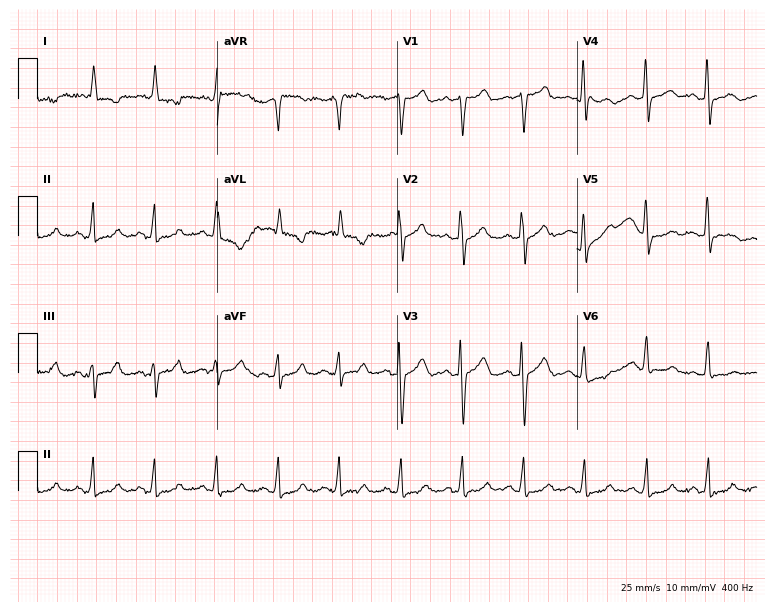
12-lead ECG from a female, 79 years old. No first-degree AV block, right bundle branch block, left bundle branch block, sinus bradycardia, atrial fibrillation or sinus tachycardia recorded for this tracing.